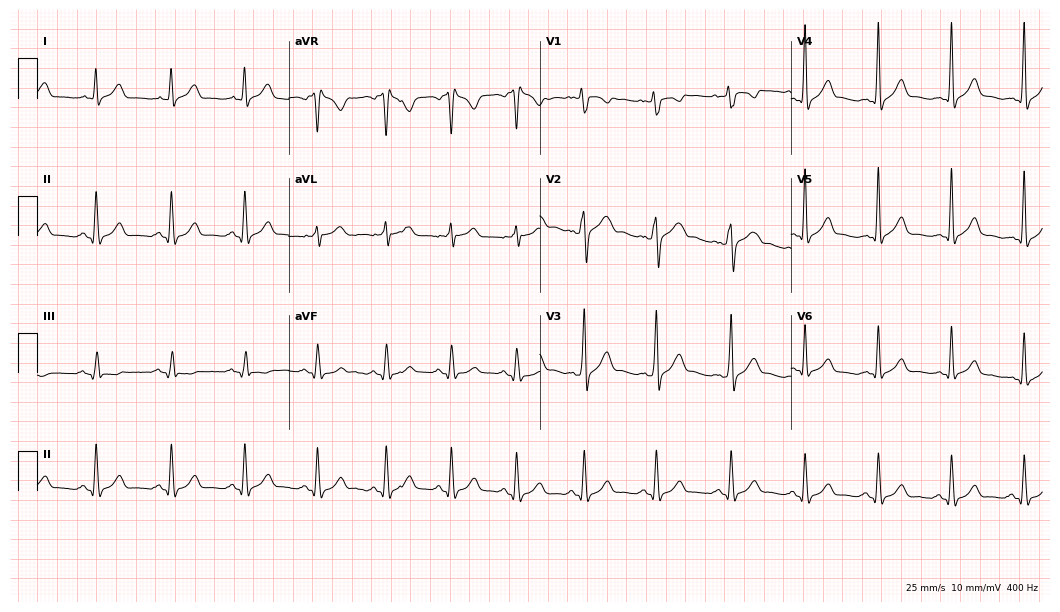
Standard 12-lead ECG recorded from a 31-year-old male patient. None of these six findings is recorded: first-degree AV block, right bundle branch block, left bundle branch block, sinus bradycardia, atrial fibrillation, sinus tachycardia. Only these six findings were labelled.